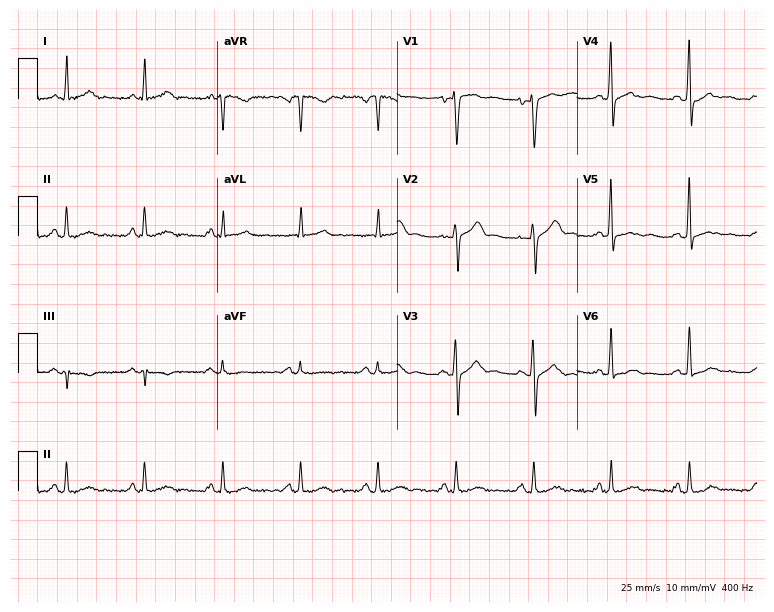
12-lead ECG (7.3-second recording at 400 Hz) from a male, 53 years old. Screened for six findings — first-degree AV block, right bundle branch block (RBBB), left bundle branch block (LBBB), sinus bradycardia, atrial fibrillation (AF), sinus tachycardia — none is recorded. Other findings, if any, are not listed.